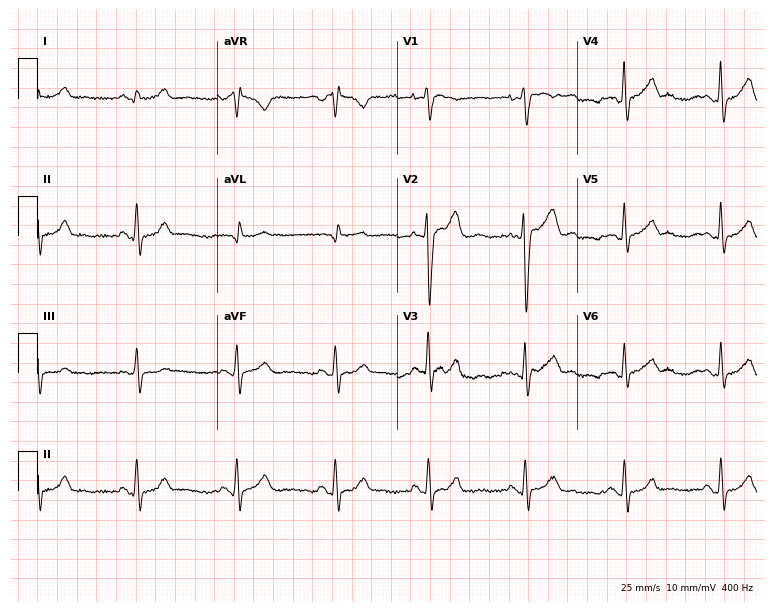
12-lead ECG from a female, 32 years old (7.3-second recording at 400 Hz). Recorded interpretation: within normal limits.